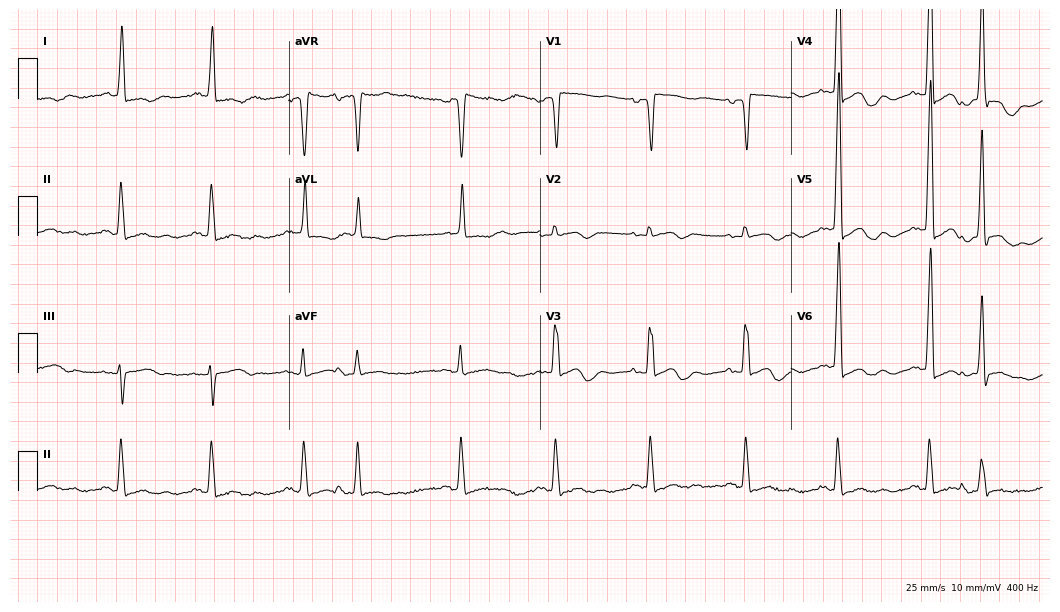
ECG (10.2-second recording at 400 Hz) — an 82-year-old female patient. Screened for six findings — first-degree AV block, right bundle branch block (RBBB), left bundle branch block (LBBB), sinus bradycardia, atrial fibrillation (AF), sinus tachycardia — none is recorded.